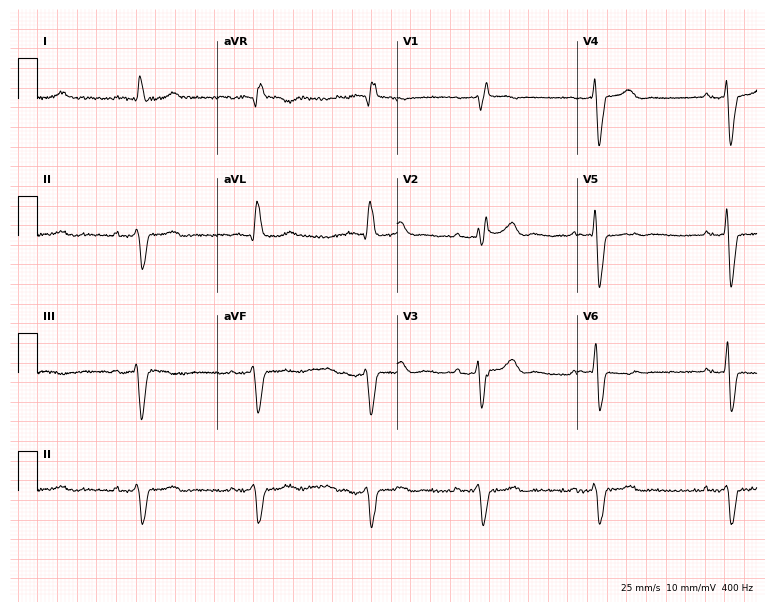
Standard 12-lead ECG recorded from a male, 69 years old. The tracing shows first-degree AV block, right bundle branch block.